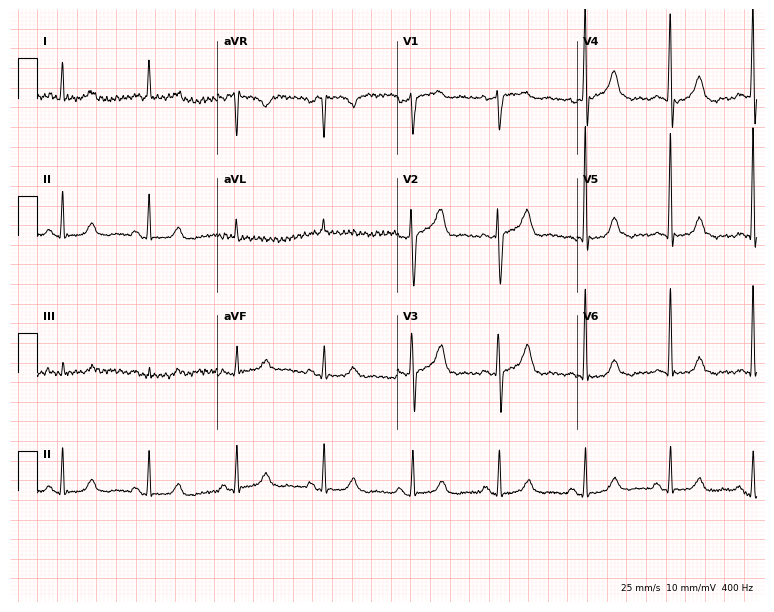
12-lead ECG from a woman, 74 years old. No first-degree AV block, right bundle branch block, left bundle branch block, sinus bradycardia, atrial fibrillation or sinus tachycardia recorded for this tracing. Findings outside these six are not listed.